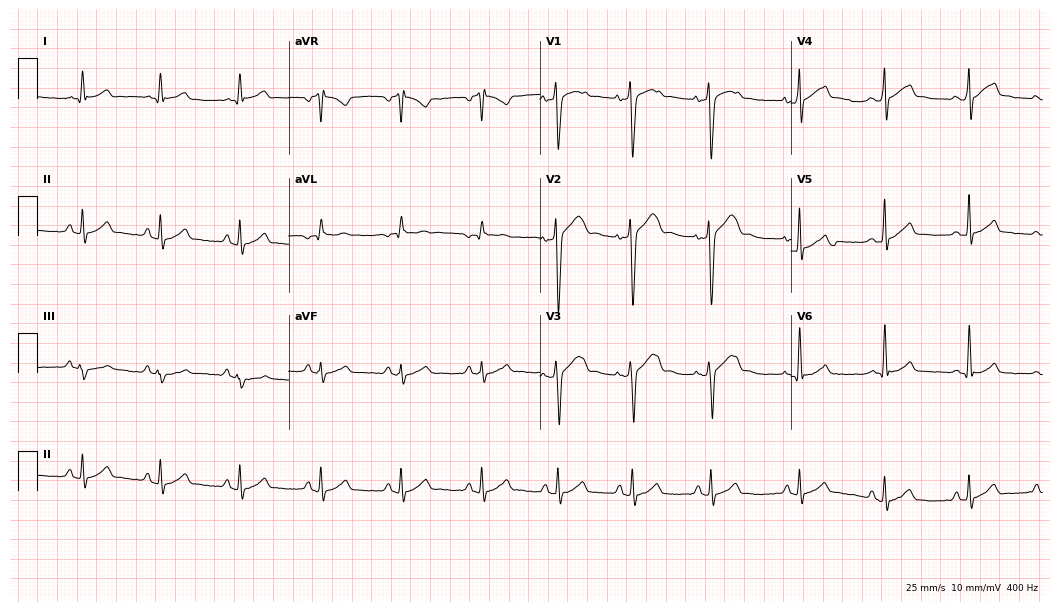
Standard 12-lead ECG recorded from a 23-year-old male (10.2-second recording at 400 Hz). Read as a normal ECG.